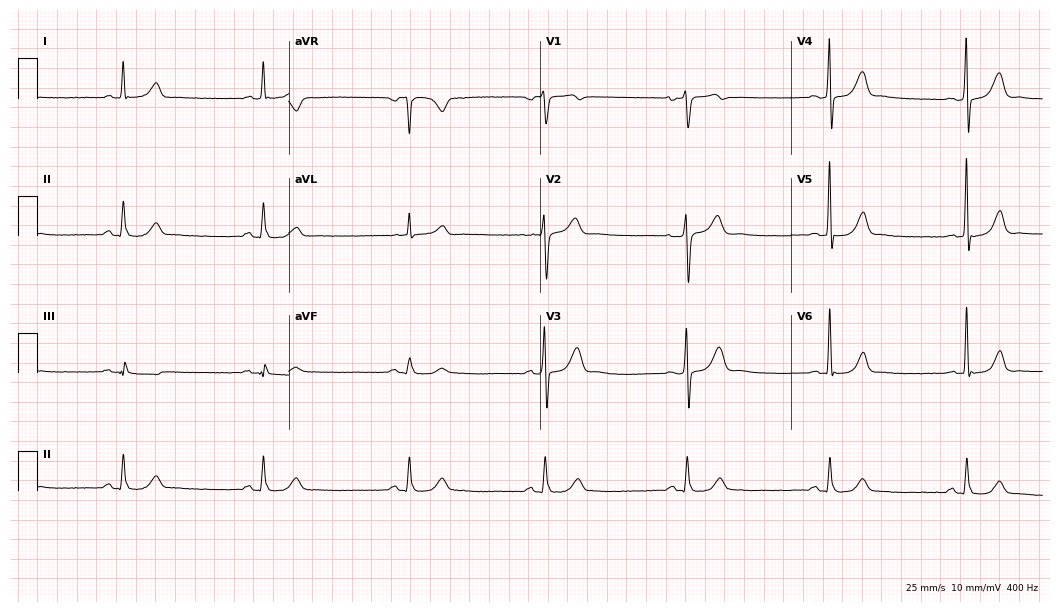
ECG — a male patient, 71 years old. Screened for six findings — first-degree AV block, right bundle branch block (RBBB), left bundle branch block (LBBB), sinus bradycardia, atrial fibrillation (AF), sinus tachycardia — none is recorded. Other findings, if any, are not listed.